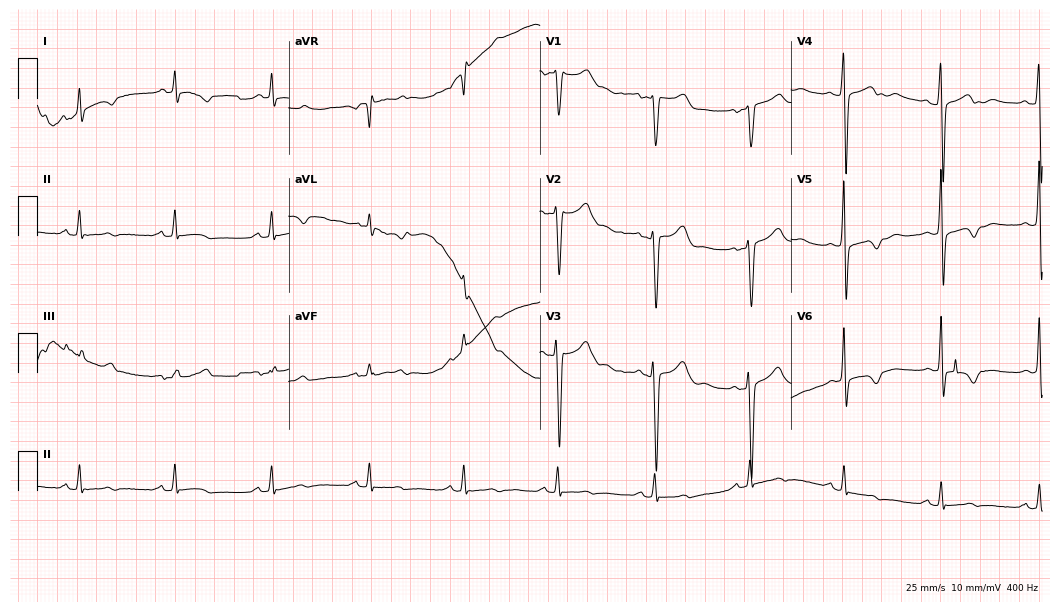
Standard 12-lead ECG recorded from a 55-year-old man (10.2-second recording at 400 Hz). None of these six findings is recorded: first-degree AV block, right bundle branch block, left bundle branch block, sinus bradycardia, atrial fibrillation, sinus tachycardia.